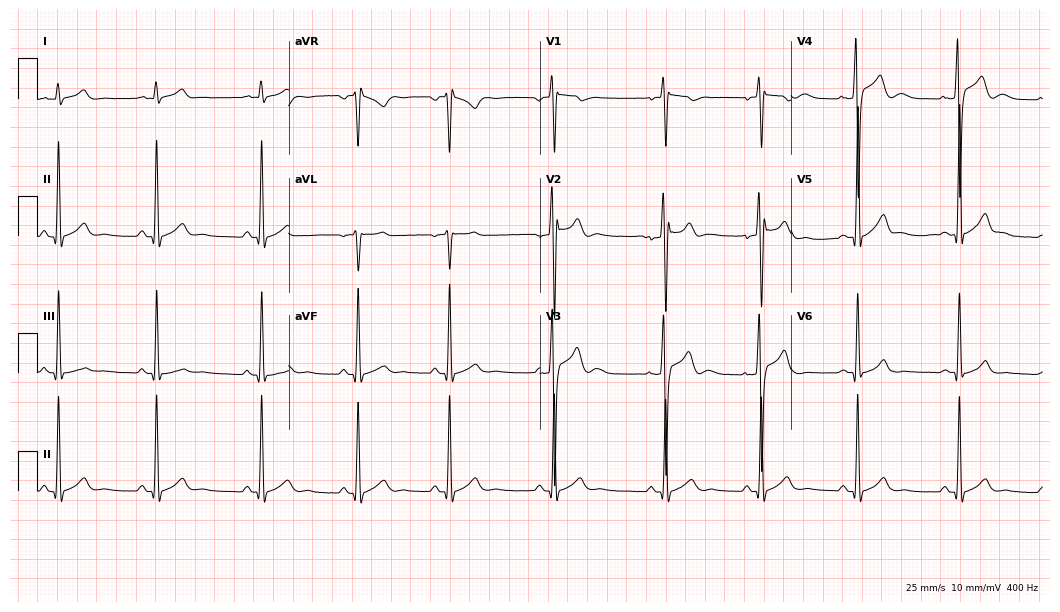
12-lead ECG from a man, 21 years old. Labelled as a normal ECG.